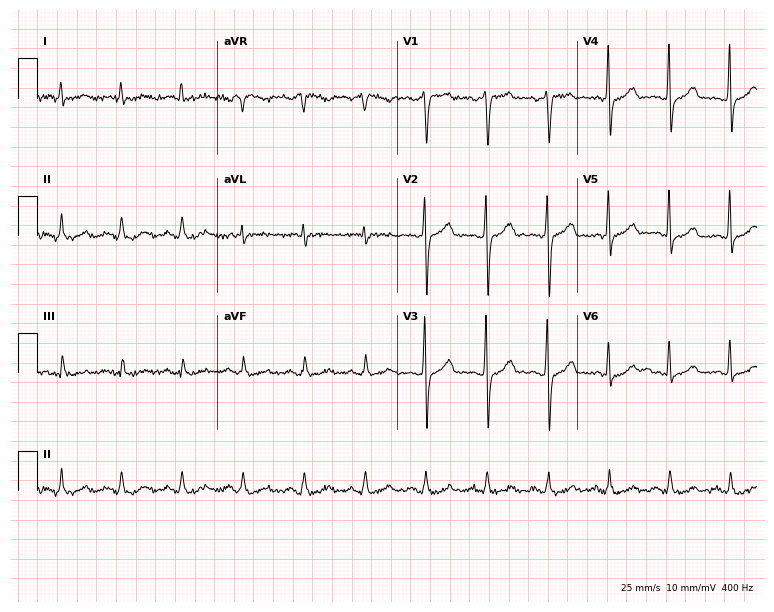
Electrocardiogram, a 67-year-old man. Overall reading on record: normal ECG.